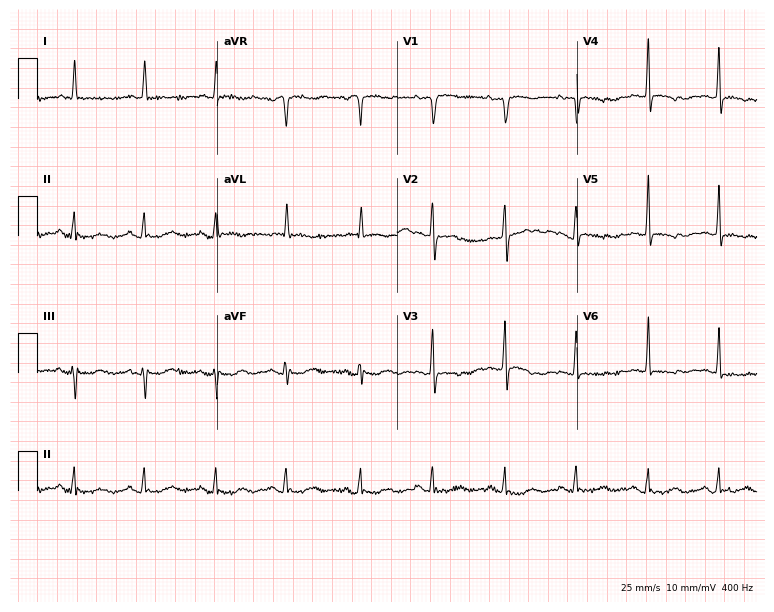
Electrocardiogram (7.3-second recording at 400 Hz), a woman, 73 years old. Of the six screened findings (first-degree AV block, right bundle branch block, left bundle branch block, sinus bradycardia, atrial fibrillation, sinus tachycardia), none is recorded.